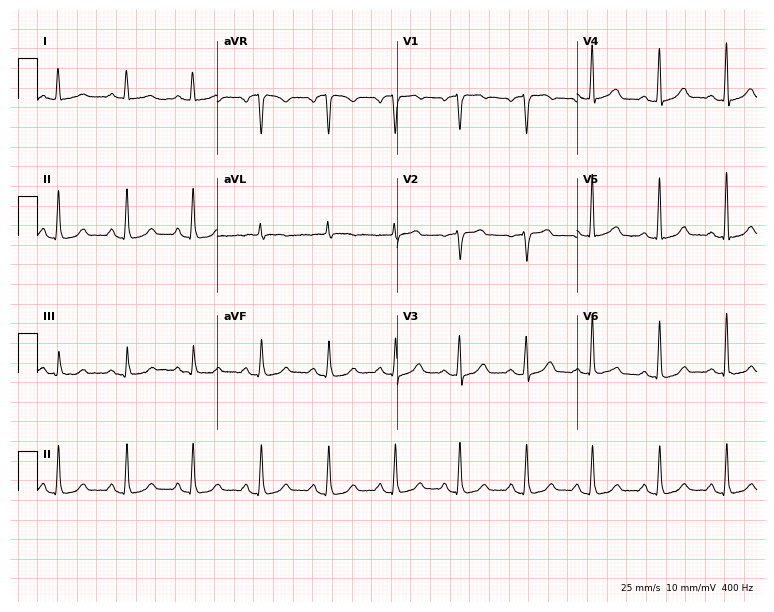
Standard 12-lead ECG recorded from a female patient, 53 years old (7.3-second recording at 400 Hz). None of these six findings is recorded: first-degree AV block, right bundle branch block (RBBB), left bundle branch block (LBBB), sinus bradycardia, atrial fibrillation (AF), sinus tachycardia. Only these six findings were labelled.